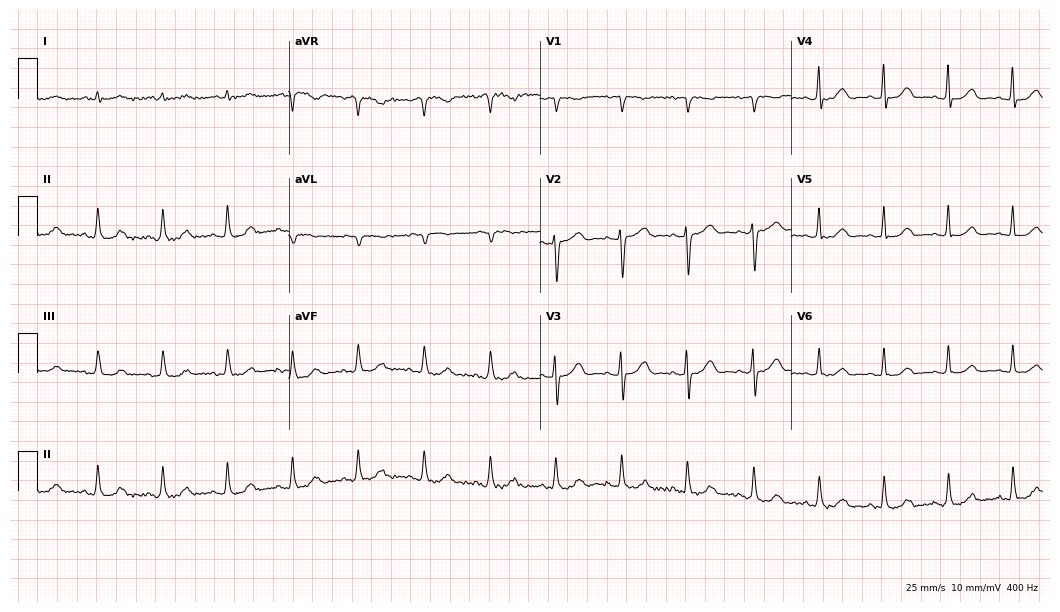
12-lead ECG from a female, 53 years old (10.2-second recording at 400 Hz). Recorded interpretation: within normal limits.